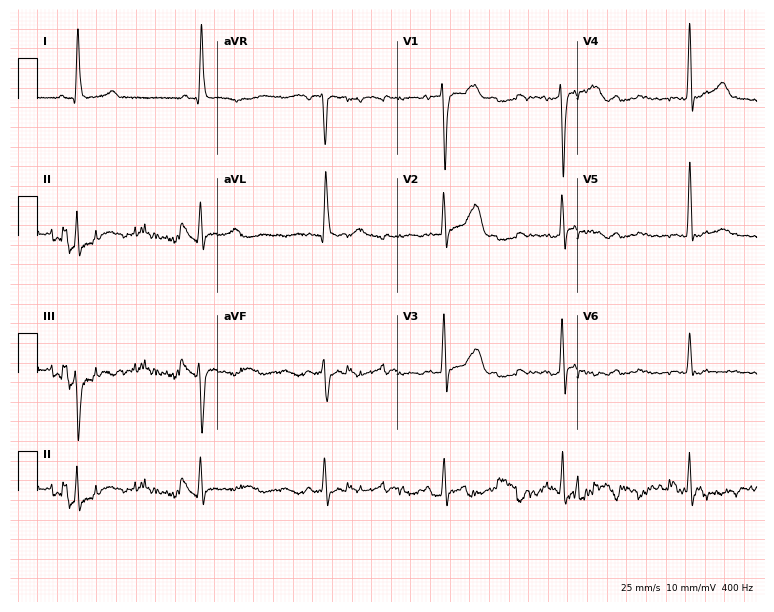
Electrocardiogram, a male patient, 69 years old. Interpretation includes sinus bradycardia (a sinus rate of 50 beats per minute or less).